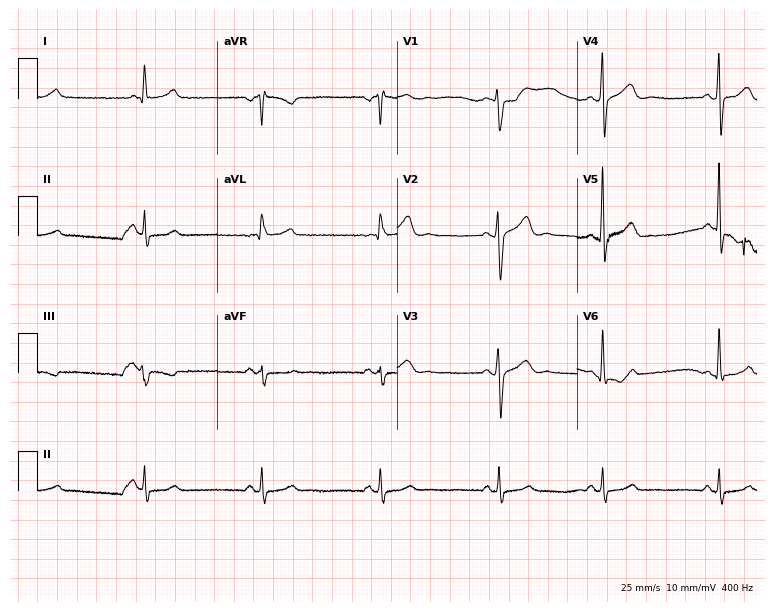
Resting 12-lead electrocardiogram (7.3-second recording at 400 Hz). Patient: a 51-year-old male. Read as a normal ECG.